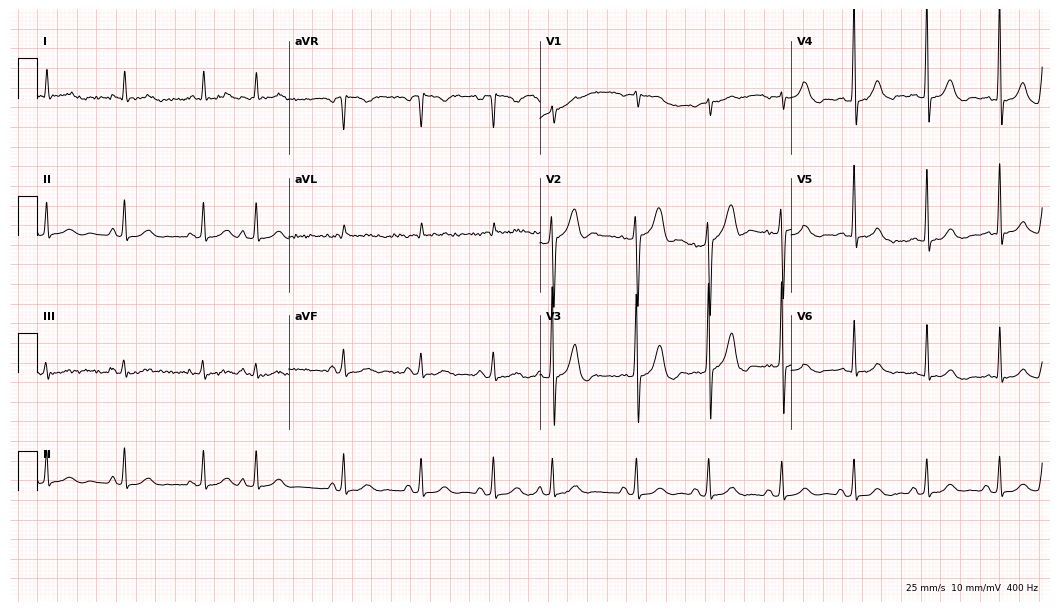
Electrocardiogram (10.2-second recording at 400 Hz), a man, 79 years old. Of the six screened findings (first-degree AV block, right bundle branch block (RBBB), left bundle branch block (LBBB), sinus bradycardia, atrial fibrillation (AF), sinus tachycardia), none is recorded. Findings outside these six are not listed.